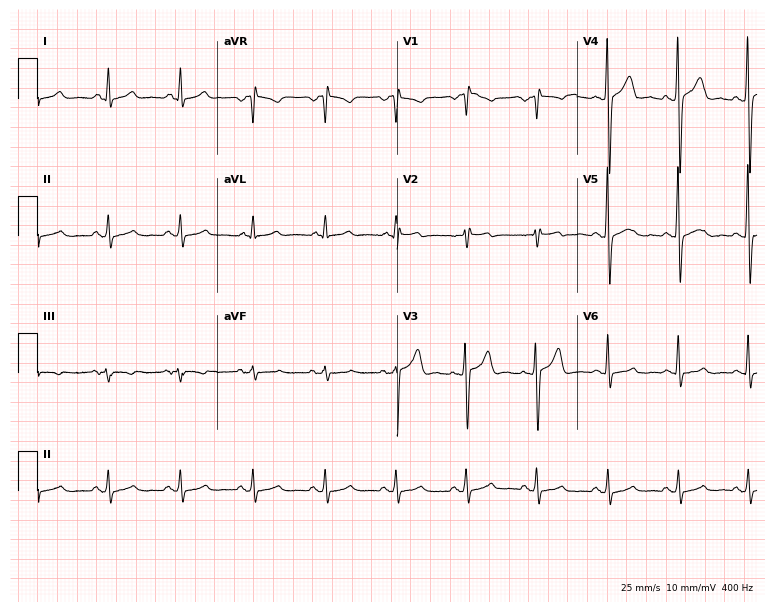
Electrocardiogram, a male, 39 years old. Of the six screened findings (first-degree AV block, right bundle branch block (RBBB), left bundle branch block (LBBB), sinus bradycardia, atrial fibrillation (AF), sinus tachycardia), none is recorded. Other findings, if any, are not listed.